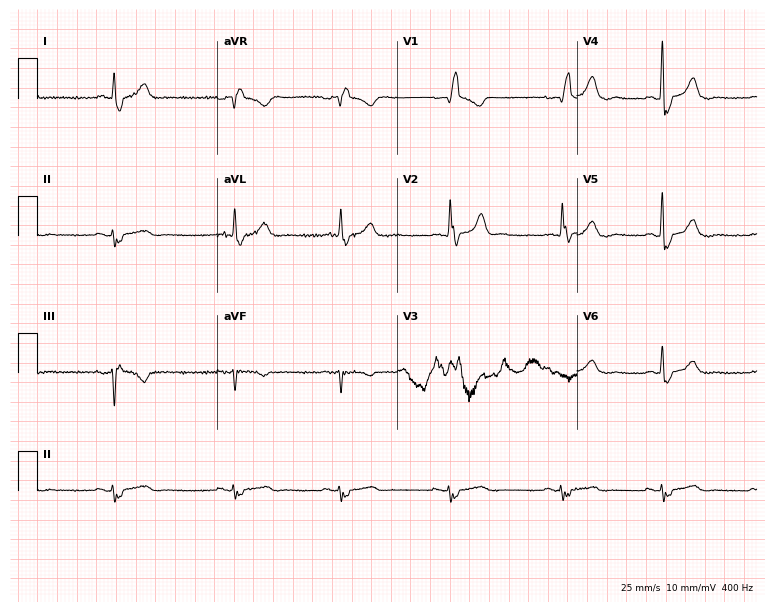
Standard 12-lead ECG recorded from a 75-year-old female. The tracing shows atrial fibrillation.